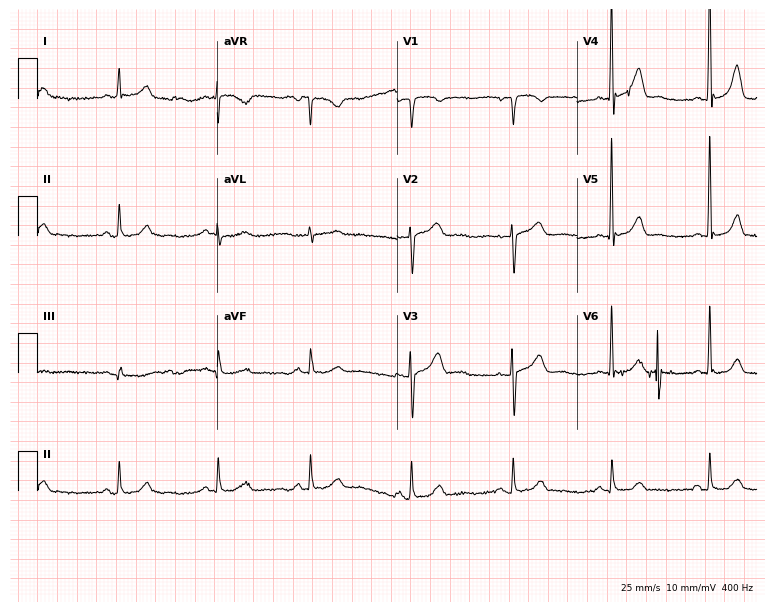
ECG — a female patient, 70 years old. Screened for six findings — first-degree AV block, right bundle branch block (RBBB), left bundle branch block (LBBB), sinus bradycardia, atrial fibrillation (AF), sinus tachycardia — none is recorded.